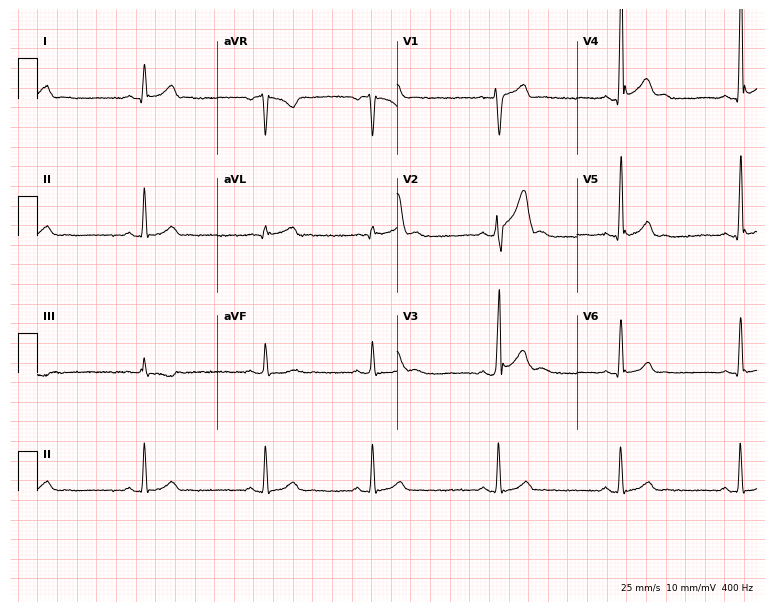
Electrocardiogram (7.3-second recording at 400 Hz), a 22-year-old male patient. Interpretation includes sinus bradycardia (a sinus rate of 50 beats per minute or less).